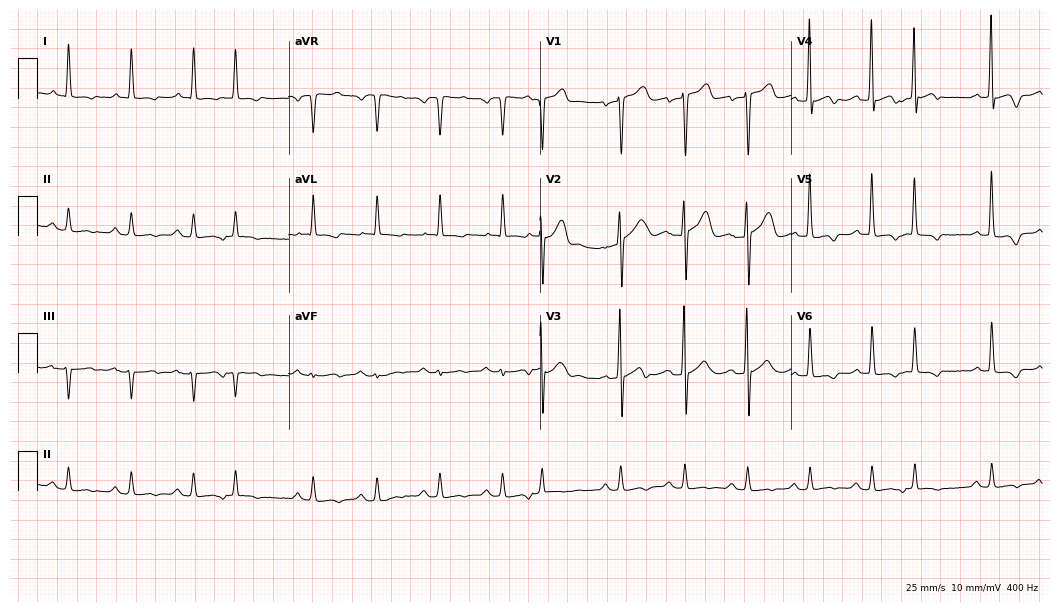
Resting 12-lead electrocardiogram (10.2-second recording at 400 Hz). Patient: a 63-year-old male. None of these six findings is recorded: first-degree AV block, right bundle branch block, left bundle branch block, sinus bradycardia, atrial fibrillation, sinus tachycardia.